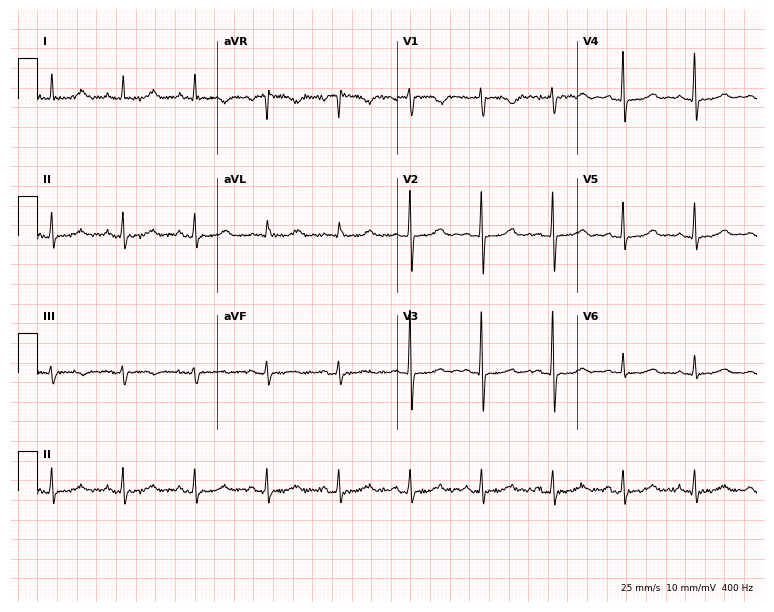
Electrocardiogram, a 77-year-old female patient. Overall reading on record: normal ECG.